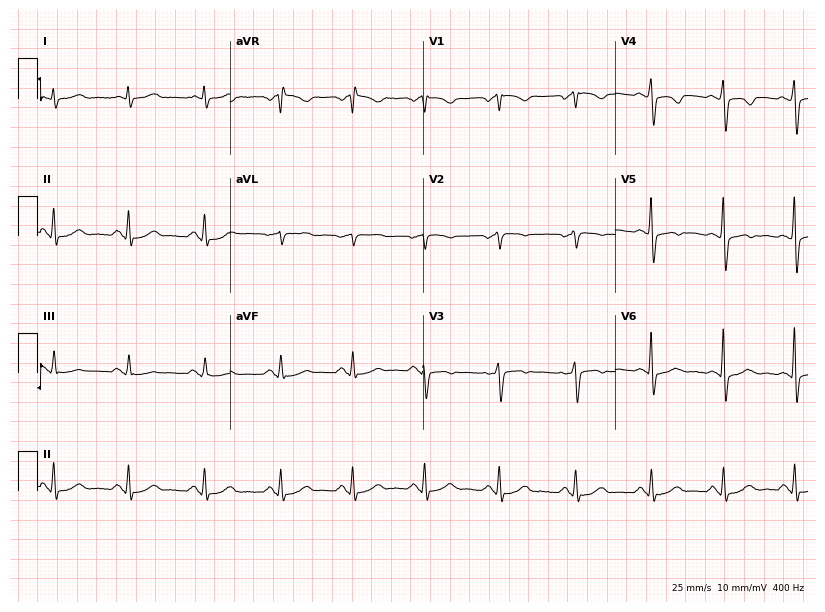
Electrocardiogram (7.9-second recording at 400 Hz), a female, 57 years old. Of the six screened findings (first-degree AV block, right bundle branch block, left bundle branch block, sinus bradycardia, atrial fibrillation, sinus tachycardia), none is recorded. Only these six findings were labelled.